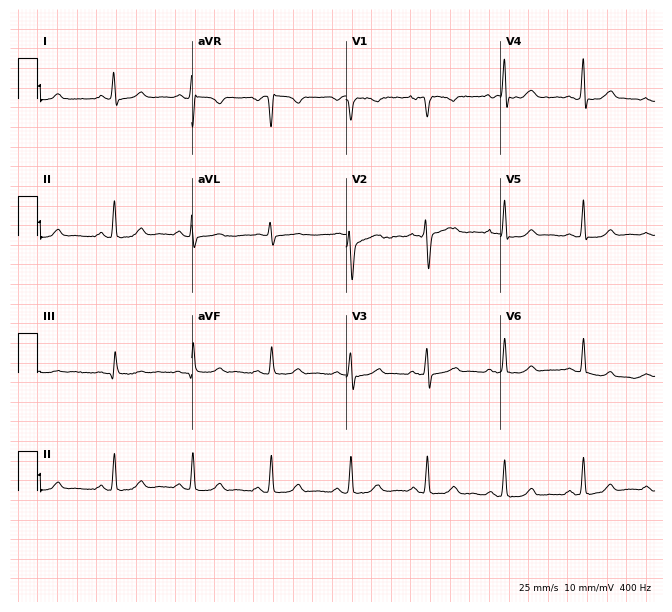
Electrocardiogram, a 22-year-old woman. Overall reading on record: normal ECG.